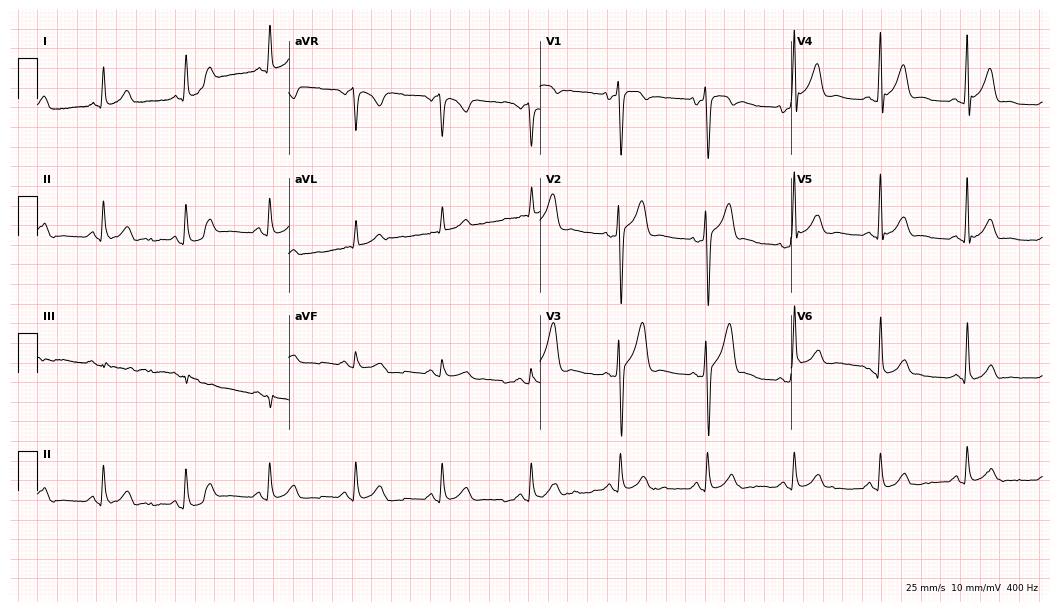
Resting 12-lead electrocardiogram (10.2-second recording at 400 Hz). Patient: a 45-year-old male. Read as a normal ECG.